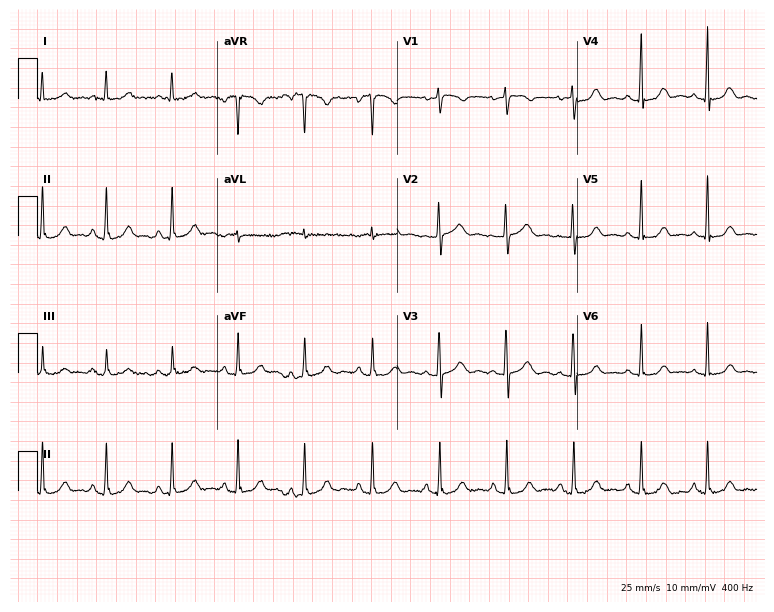
12-lead ECG from a 56-year-old female patient (7.3-second recording at 400 Hz). No first-degree AV block, right bundle branch block, left bundle branch block, sinus bradycardia, atrial fibrillation or sinus tachycardia recorded for this tracing. Only these six findings were labelled.